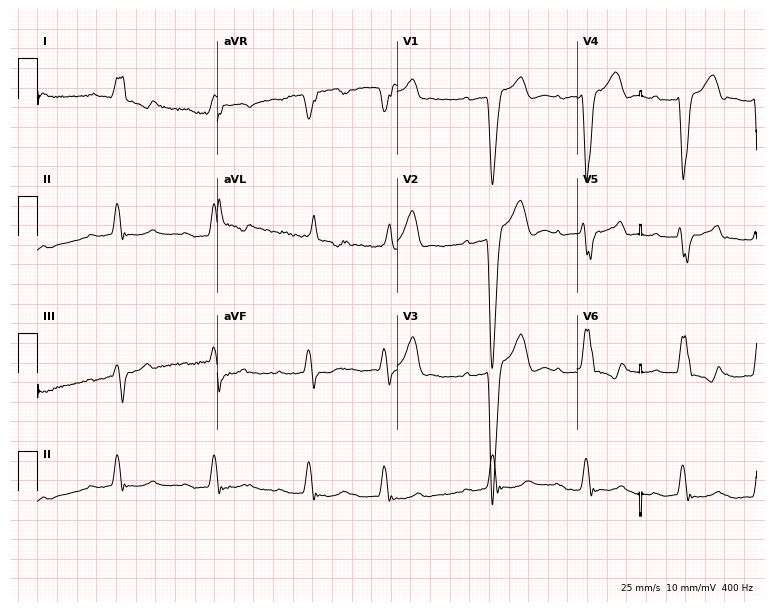
Resting 12-lead electrocardiogram (7.3-second recording at 400 Hz). Patient: a male, 84 years old. The tracing shows first-degree AV block, left bundle branch block.